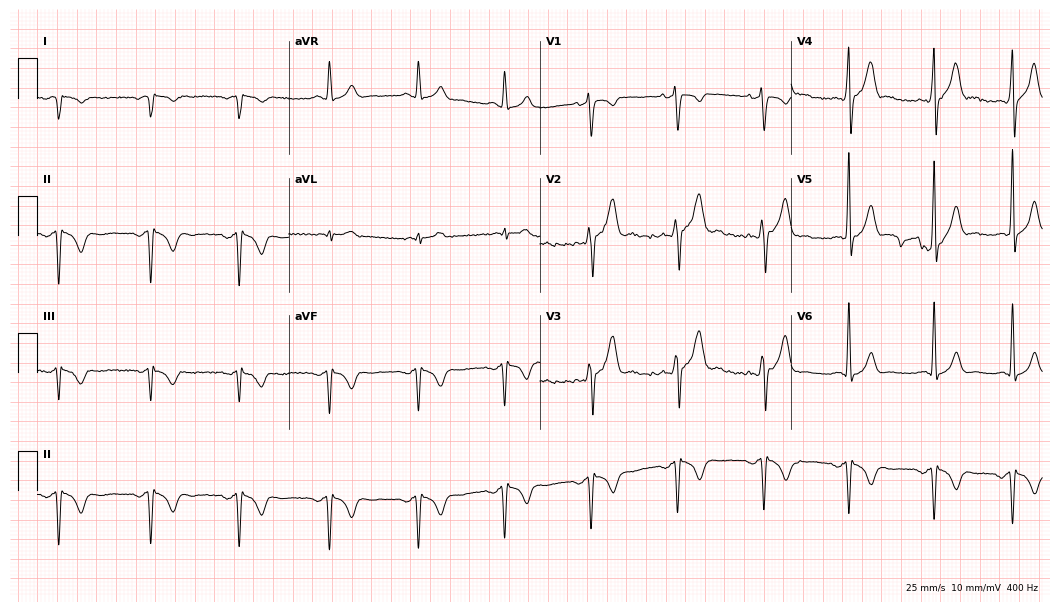
Electrocardiogram (10.2-second recording at 400 Hz), a 31-year-old male. Of the six screened findings (first-degree AV block, right bundle branch block (RBBB), left bundle branch block (LBBB), sinus bradycardia, atrial fibrillation (AF), sinus tachycardia), none is recorded.